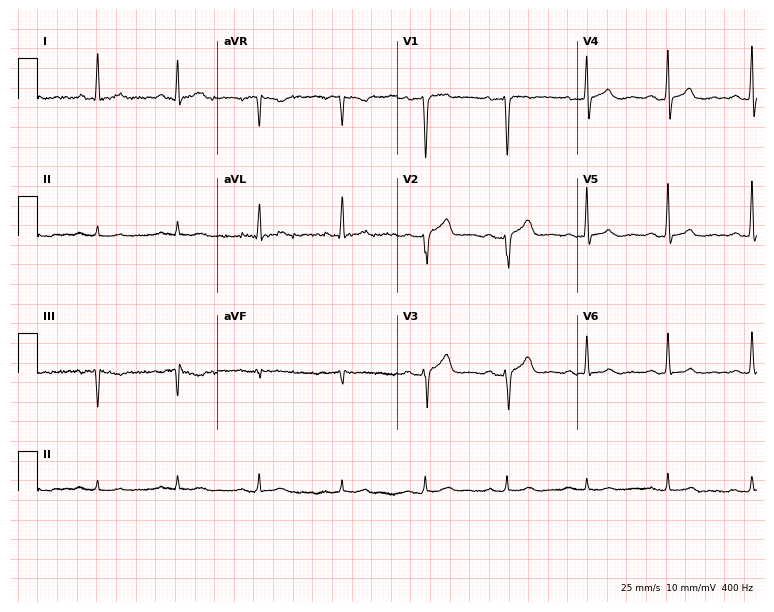
Electrocardiogram, a male, 68 years old. Overall reading on record: normal ECG.